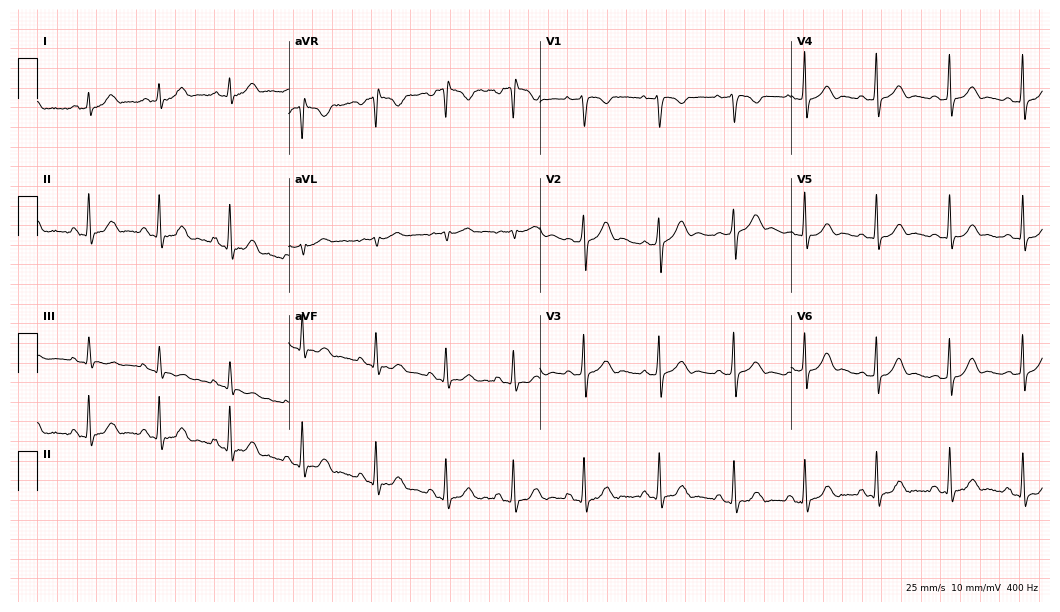
Electrocardiogram (10.2-second recording at 400 Hz), a 20-year-old female. Overall reading on record: normal ECG.